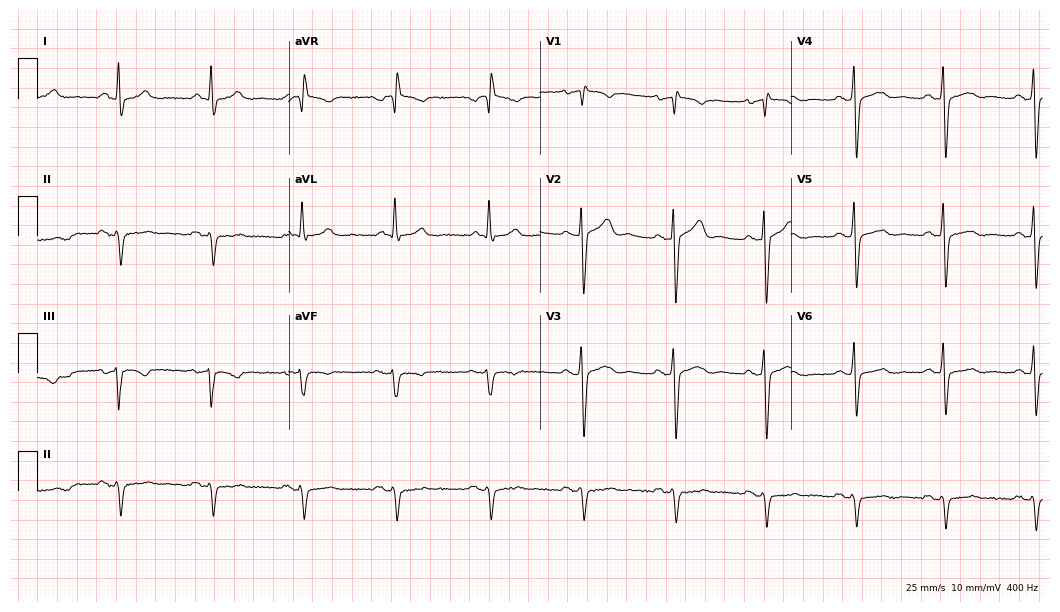
12-lead ECG from a male, 57 years old (10.2-second recording at 400 Hz). No first-degree AV block, right bundle branch block, left bundle branch block, sinus bradycardia, atrial fibrillation or sinus tachycardia recorded for this tracing. Findings outside these six are not listed.